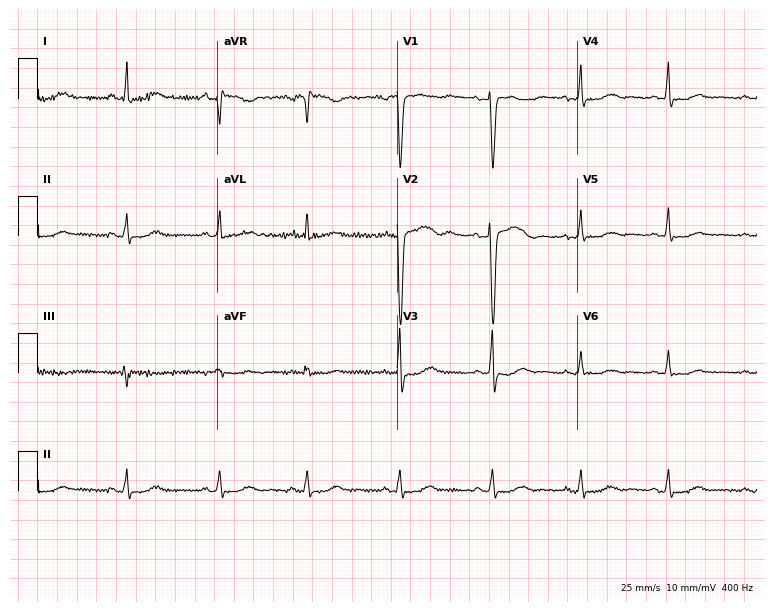
Resting 12-lead electrocardiogram (7.3-second recording at 400 Hz). Patient: a woman, 44 years old. None of these six findings is recorded: first-degree AV block, right bundle branch block (RBBB), left bundle branch block (LBBB), sinus bradycardia, atrial fibrillation (AF), sinus tachycardia. Findings outside these six are not listed.